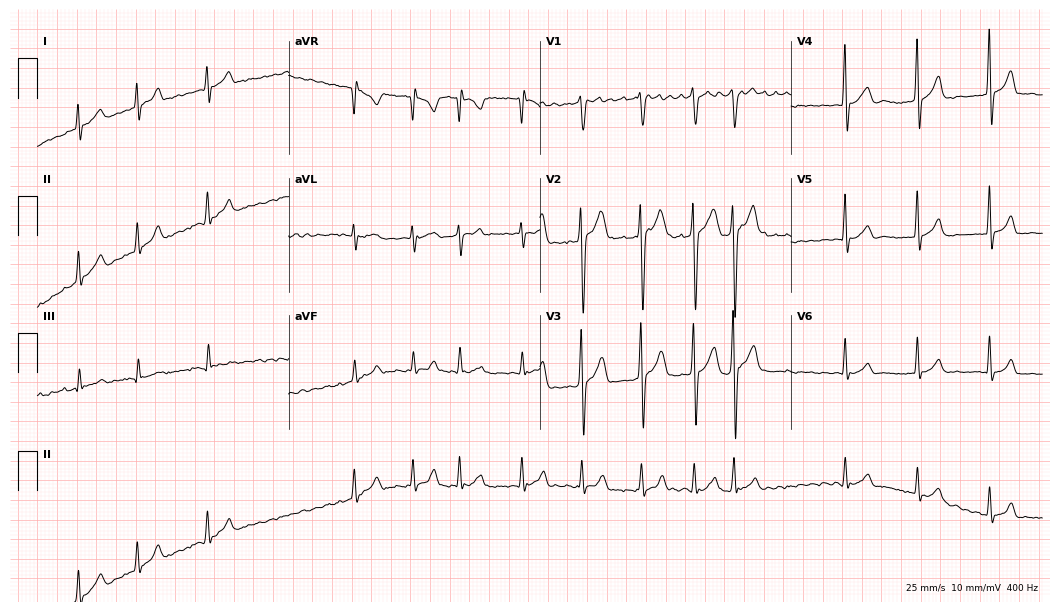
12-lead ECG from a 36-year-old man. Findings include atrial fibrillation (AF).